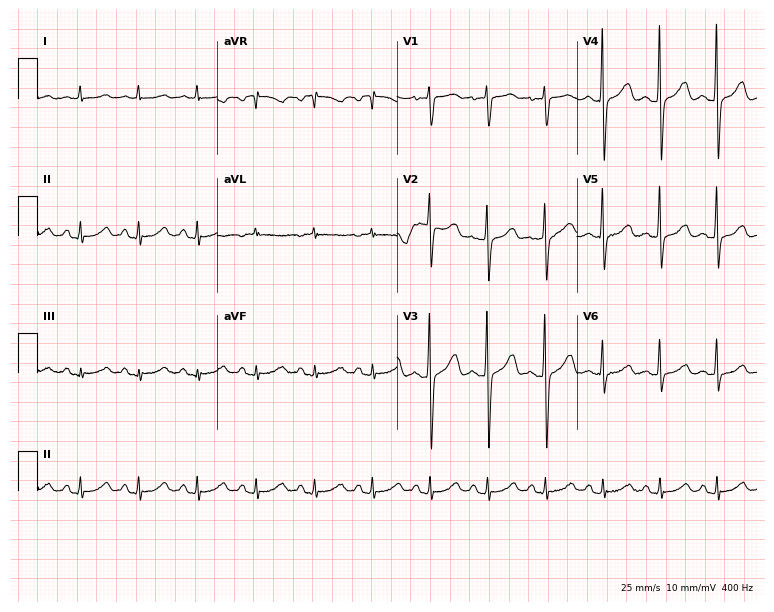
12-lead ECG from a female, 50 years old. No first-degree AV block, right bundle branch block (RBBB), left bundle branch block (LBBB), sinus bradycardia, atrial fibrillation (AF) or sinus tachycardia recorded for this tracing.